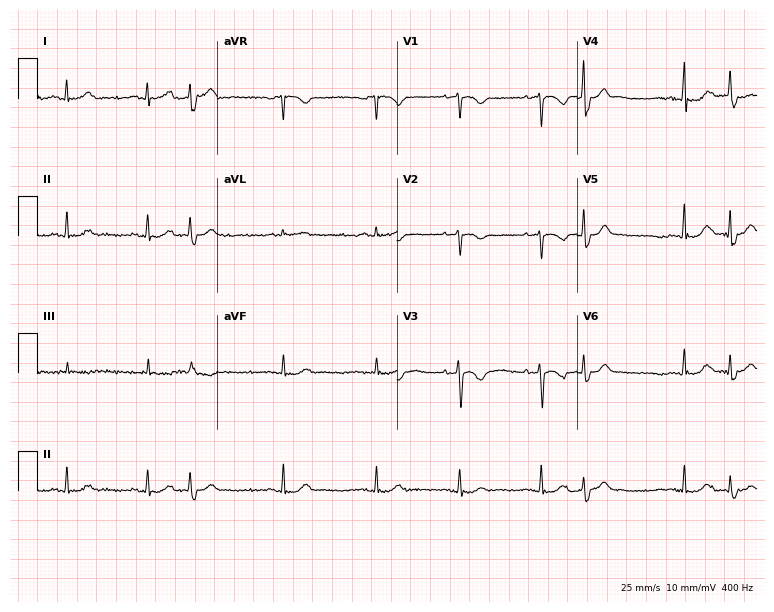
Electrocardiogram, a 63-year-old female patient. Of the six screened findings (first-degree AV block, right bundle branch block, left bundle branch block, sinus bradycardia, atrial fibrillation, sinus tachycardia), none is recorded.